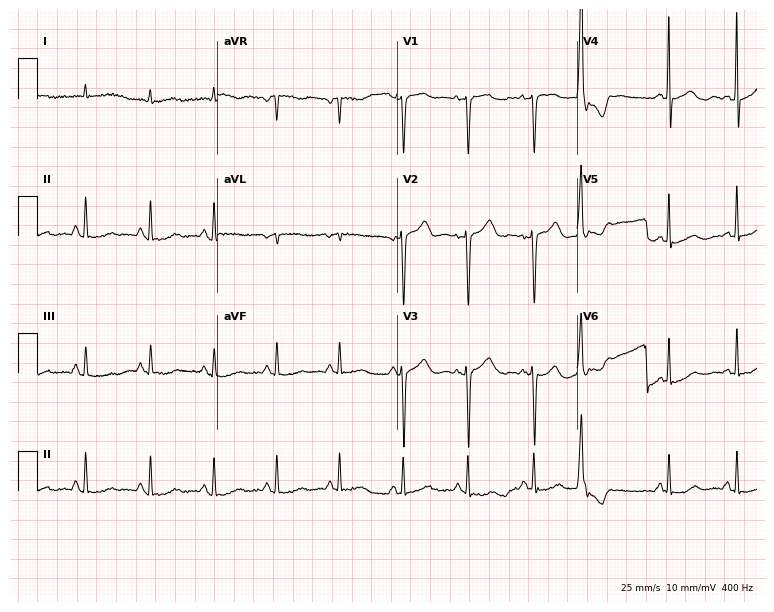
Electrocardiogram (7.3-second recording at 400 Hz), a woman, 84 years old. Overall reading on record: normal ECG.